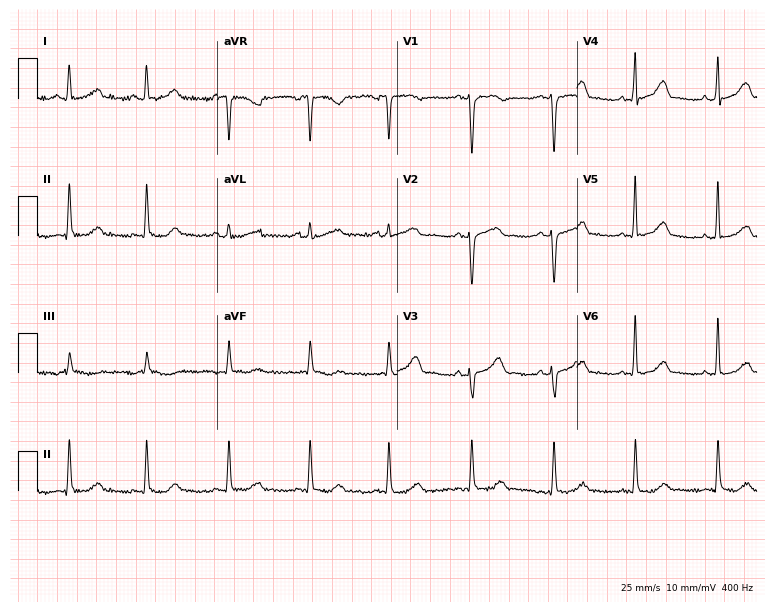
12-lead ECG from a 38-year-old female patient. Labelled as a normal ECG.